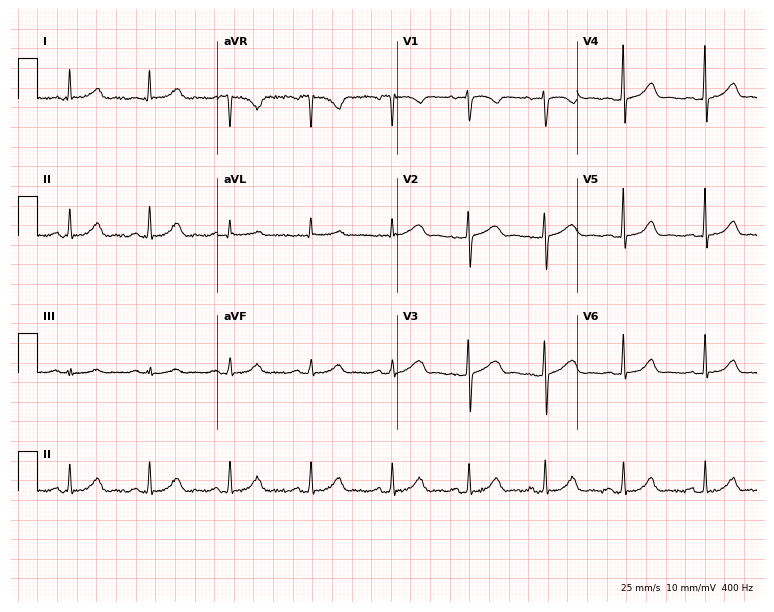
12-lead ECG from a 34-year-old woman. Labelled as a normal ECG.